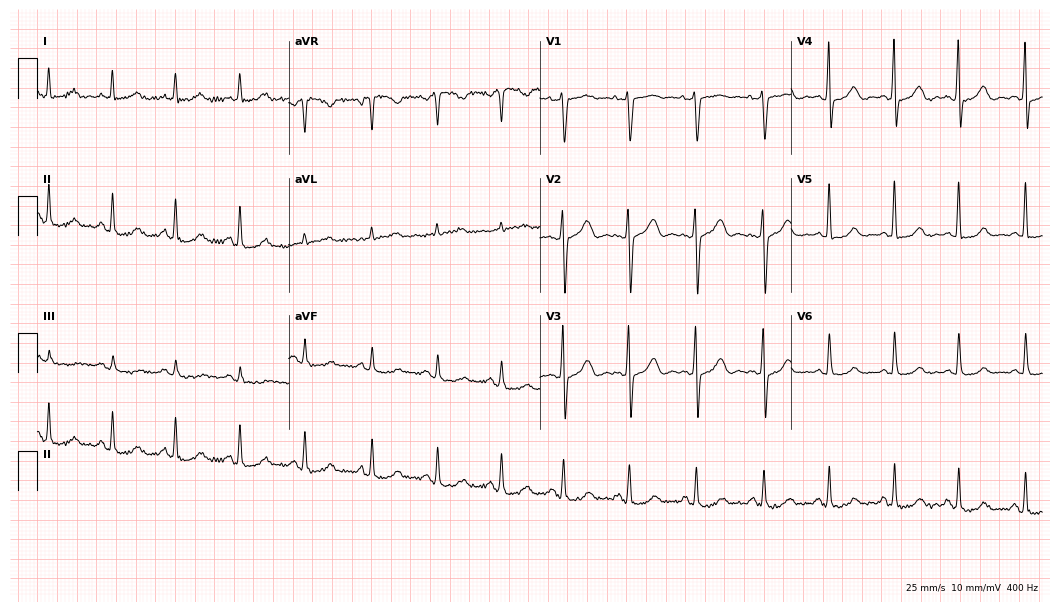
Resting 12-lead electrocardiogram (10.2-second recording at 400 Hz). Patient: a female, 74 years old. None of these six findings is recorded: first-degree AV block, right bundle branch block, left bundle branch block, sinus bradycardia, atrial fibrillation, sinus tachycardia.